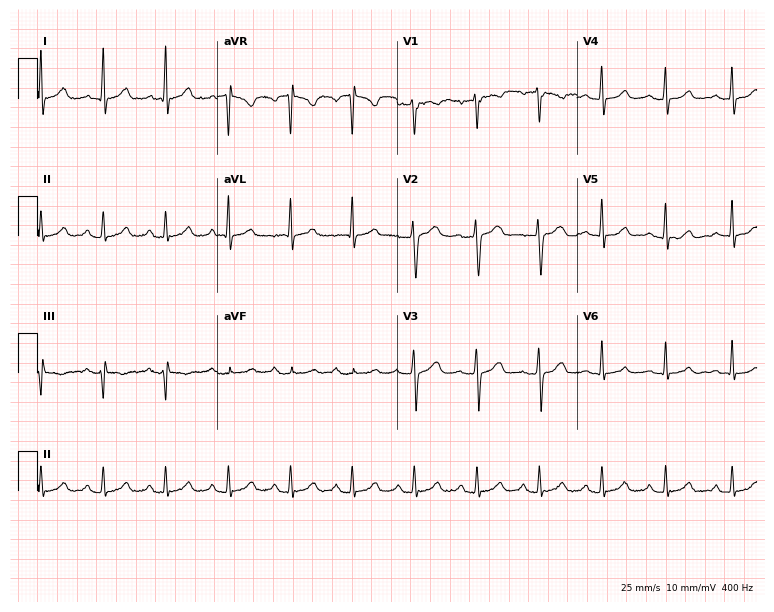
12-lead ECG from a woman, 52 years old. No first-degree AV block, right bundle branch block, left bundle branch block, sinus bradycardia, atrial fibrillation or sinus tachycardia recorded for this tracing. Findings outside these six are not listed.